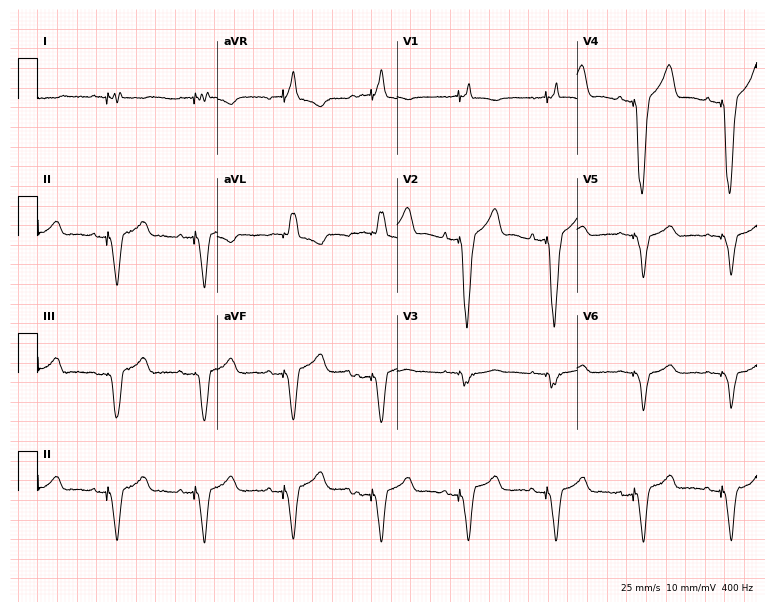
12-lead ECG from a woman, 81 years old. No first-degree AV block, right bundle branch block (RBBB), left bundle branch block (LBBB), sinus bradycardia, atrial fibrillation (AF) or sinus tachycardia recorded for this tracing. Findings outside these six are not listed.